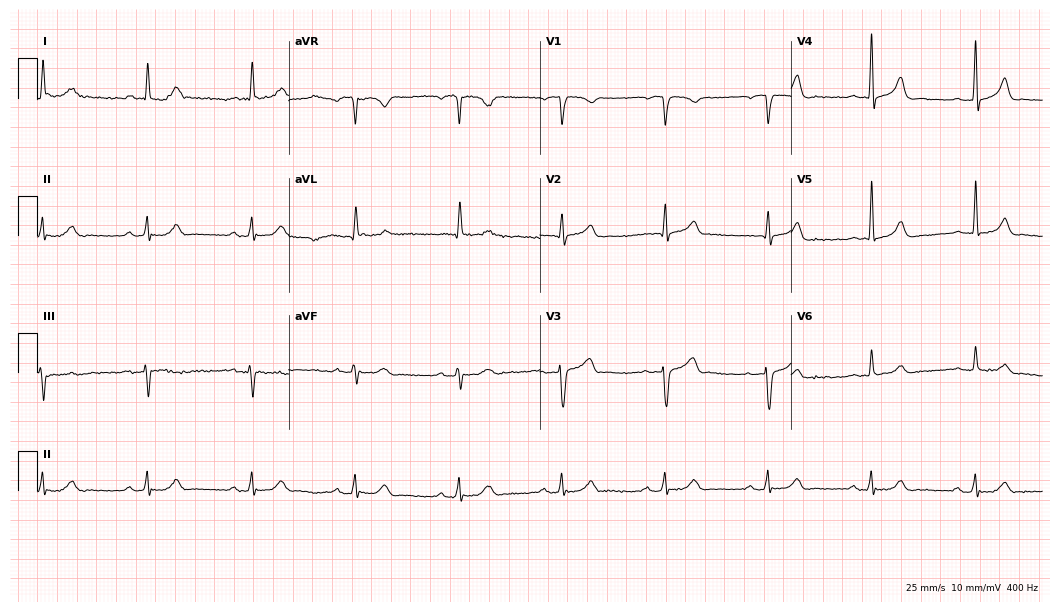
Electrocardiogram (10.2-second recording at 400 Hz), a male, 71 years old. Overall reading on record: normal ECG.